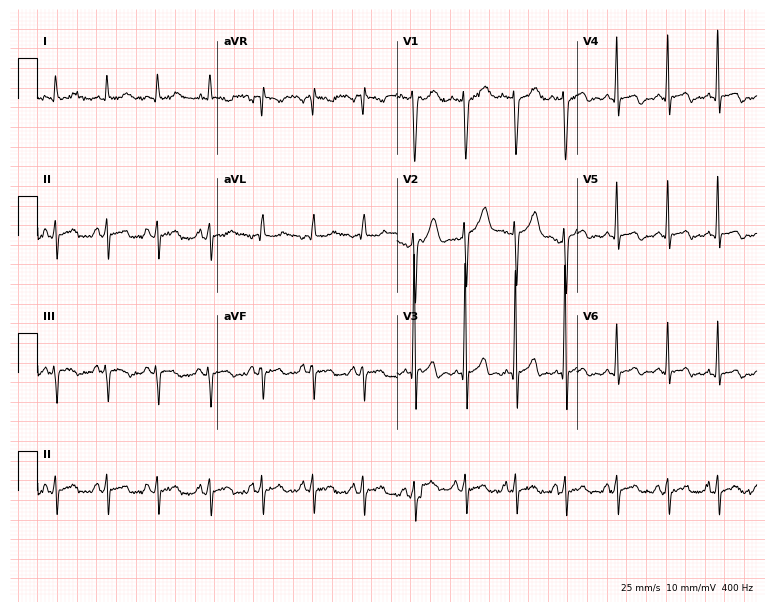
Resting 12-lead electrocardiogram (7.3-second recording at 400 Hz). Patient: a 60-year-old man. The tracing shows sinus tachycardia (a sinus rate of 100 beats per minute or more).